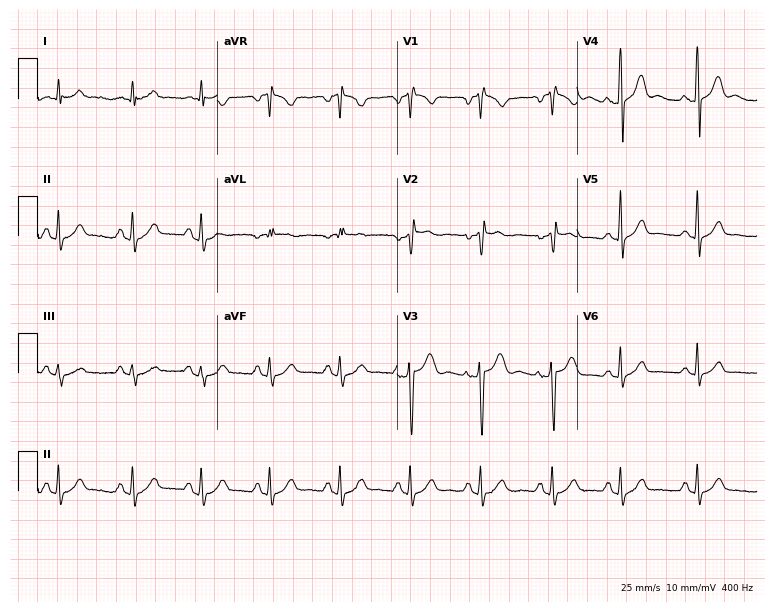
12-lead ECG from a 48-year-old man. Screened for six findings — first-degree AV block, right bundle branch block (RBBB), left bundle branch block (LBBB), sinus bradycardia, atrial fibrillation (AF), sinus tachycardia — none is recorded. Findings outside these six are not listed.